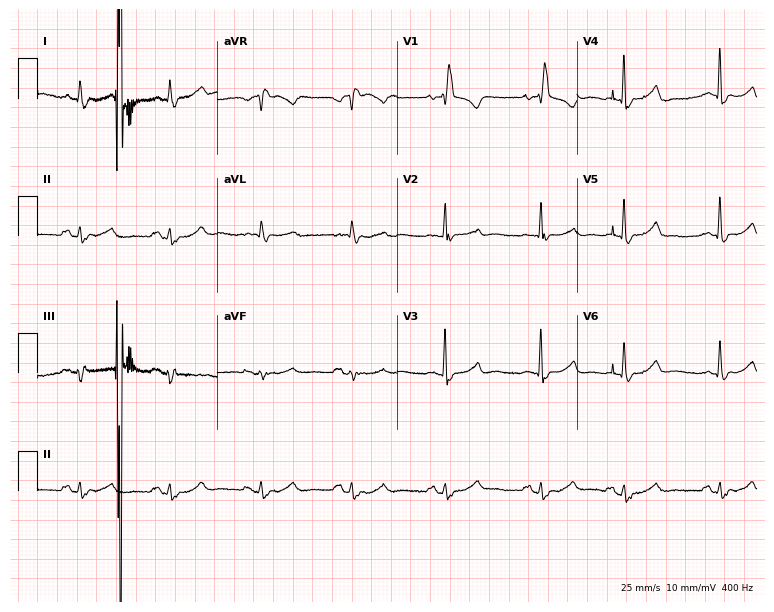
Standard 12-lead ECG recorded from a woman, 83 years old. The tracing shows right bundle branch block (RBBB).